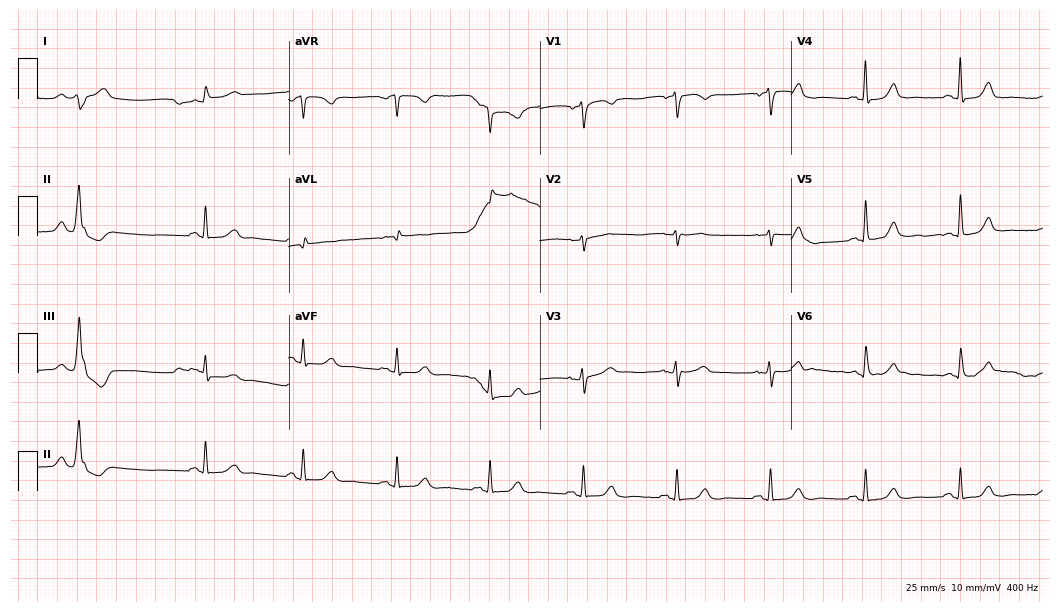
Standard 12-lead ECG recorded from a male patient, 76 years old (10.2-second recording at 400 Hz). Read as a normal ECG.